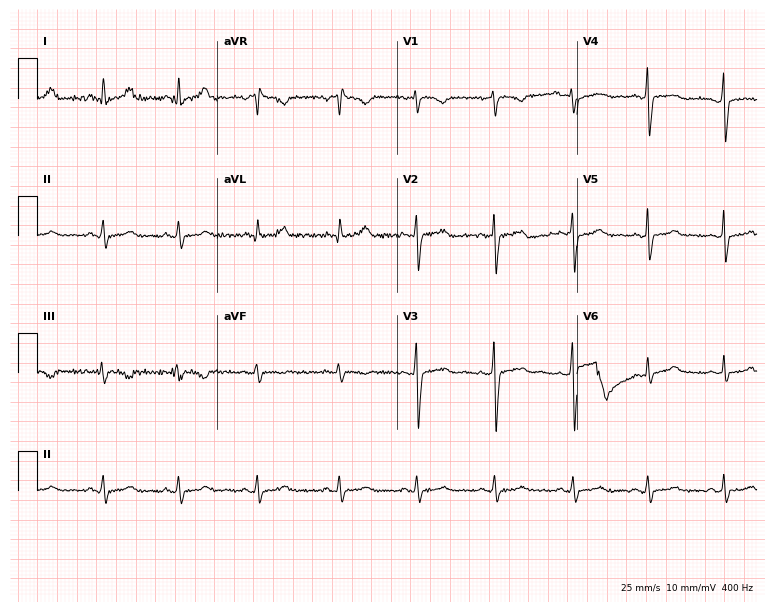
12-lead ECG from a 31-year-old woman. No first-degree AV block, right bundle branch block, left bundle branch block, sinus bradycardia, atrial fibrillation or sinus tachycardia recorded for this tracing. Only these six findings were labelled.